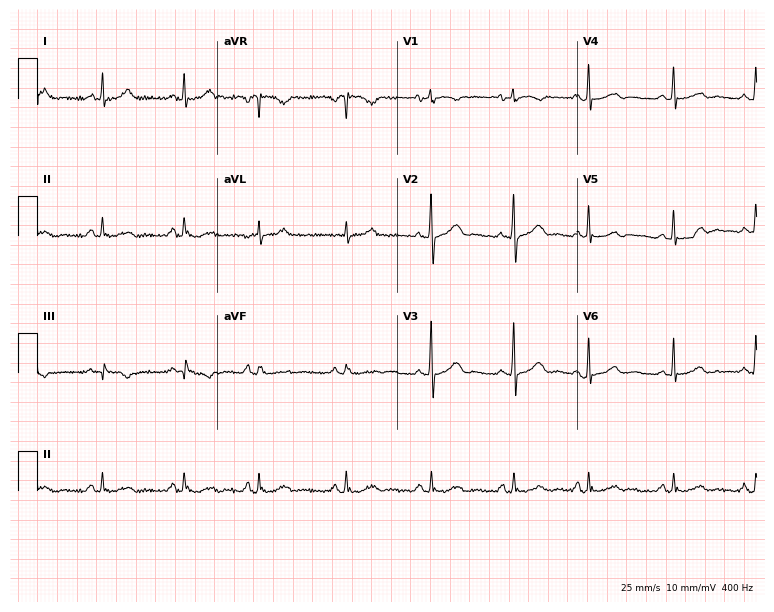
Electrocardiogram (7.3-second recording at 400 Hz), a 66-year-old woman. Of the six screened findings (first-degree AV block, right bundle branch block, left bundle branch block, sinus bradycardia, atrial fibrillation, sinus tachycardia), none is recorded. Findings outside these six are not listed.